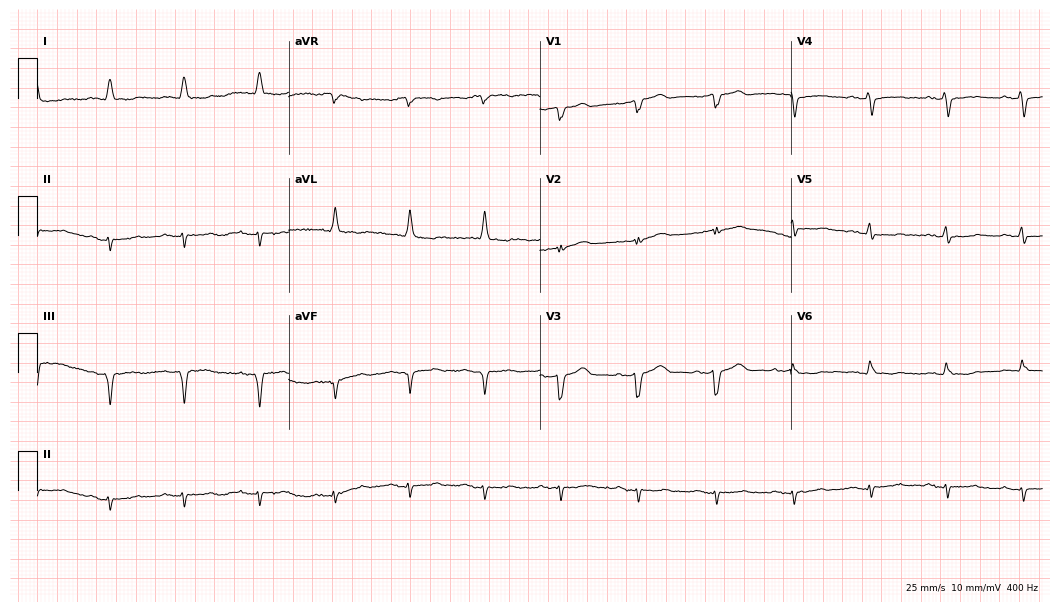
Resting 12-lead electrocardiogram. Patient: a man, 80 years old. None of these six findings is recorded: first-degree AV block, right bundle branch block, left bundle branch block, sinus bradycardia, atrial fibrillation, sinus tachycardia.